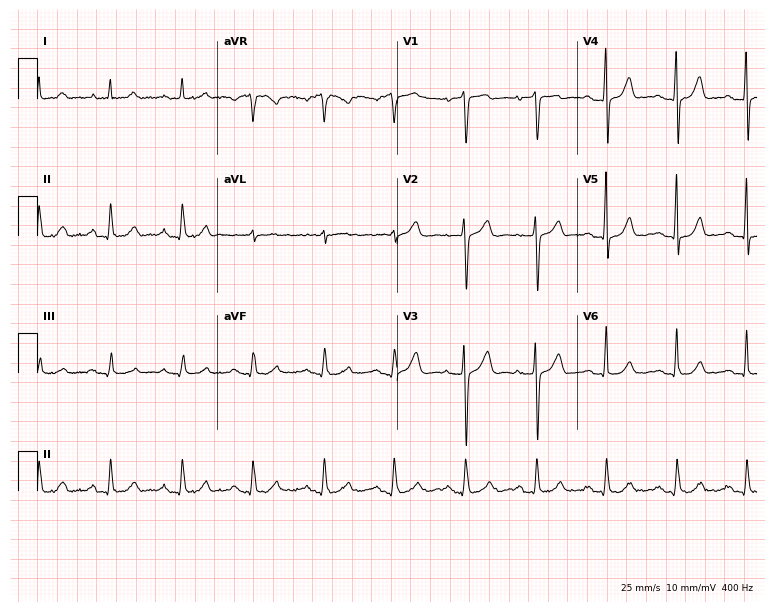
Resting 12-lead electrocardiogram (7.3-second recording at 400 Hz). Patient: a female, 50 years old. Read as a normal ECG.